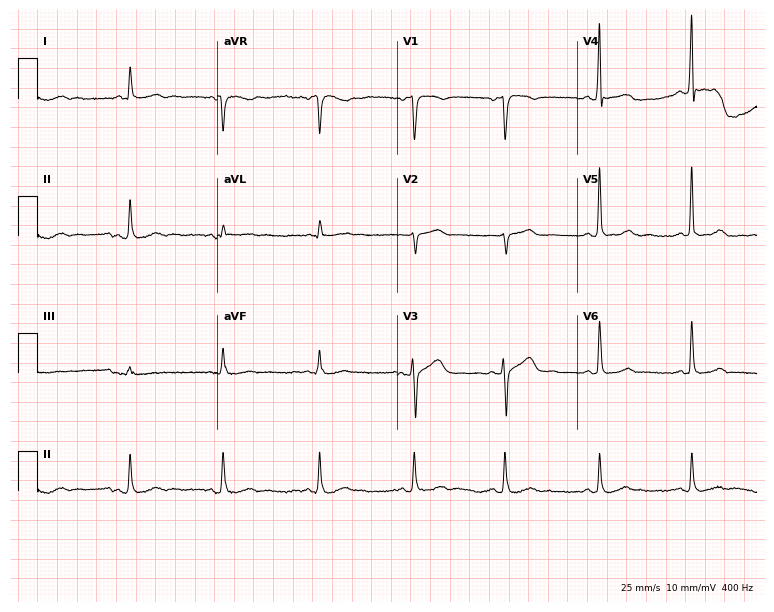
Resting 12-lead electrocardiogram (7.3-second recording at 400 Hz). Patient: a man, 57 years old. None of these six findings is recorded: first-degree AV block, right bundle branch block (RBBB), left bundle branch block (LBBB), sinus bradycardia, atrial fibrillation (AF), sinus tachycardia. Other findings, if any, are not listed.